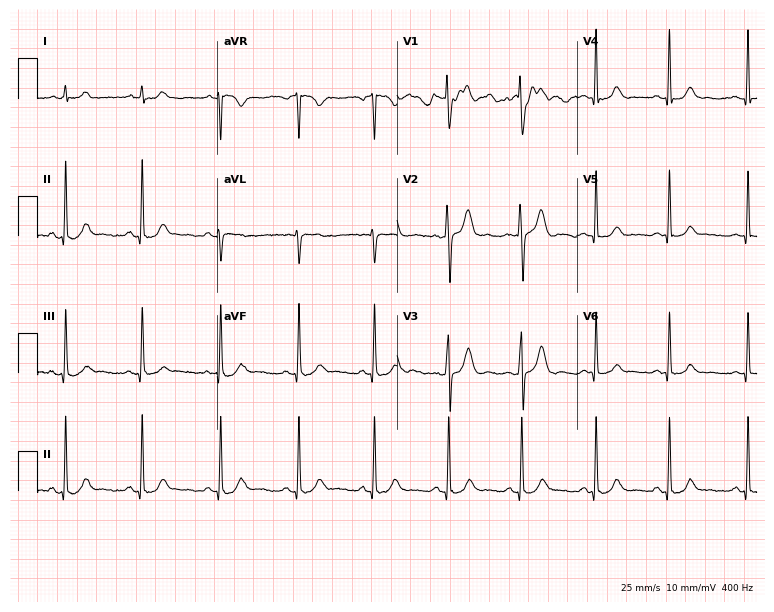
12-lead ECG from a 21-year-old female. Labelled as a normal ECG.